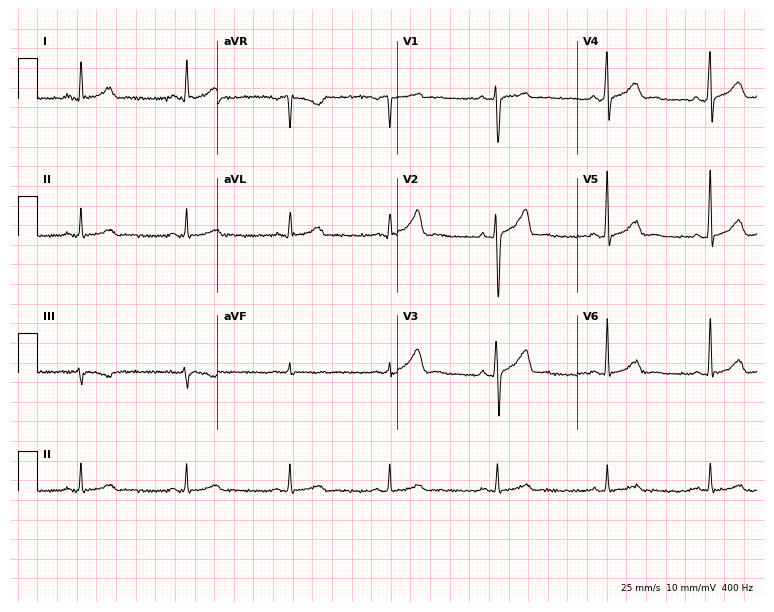
Resting 12-lead electrocardiogram (7.3-second recording at 400 Hz). Patient: a 40-year-old male. Read as a normal ECG.